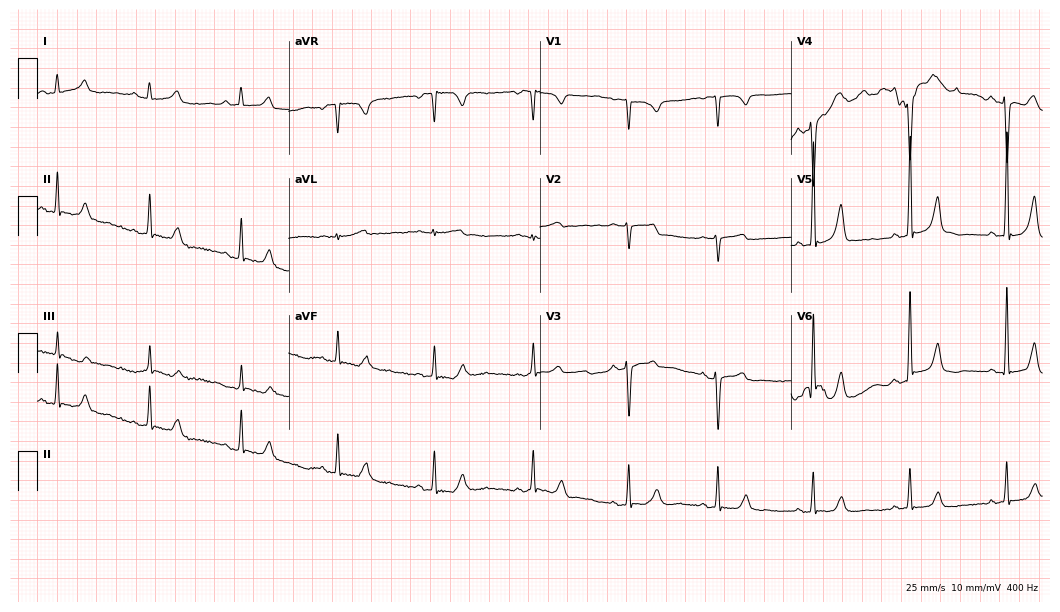
12-lead ECG from a 30-year-old woman. No first-degree AV block, right bundle branch block, left bundle branch block, sinus bradycardia, atrial fibrillation or sinus tachycardia recorded for this tracing.